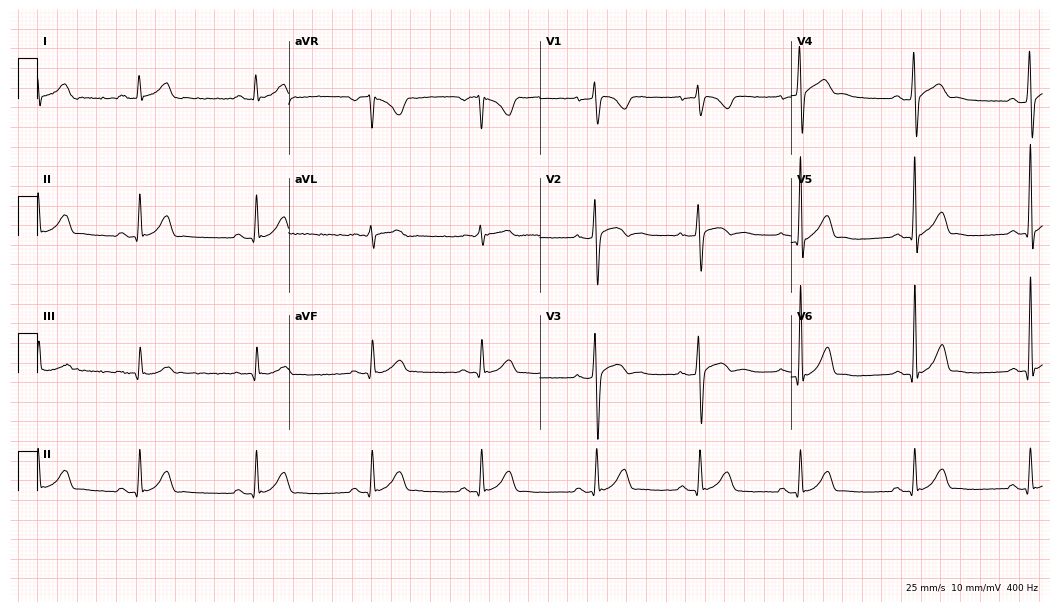
Resting 12-lead electrocardiogram. Patient: a man, 31 years old. Read as a normal ECG.